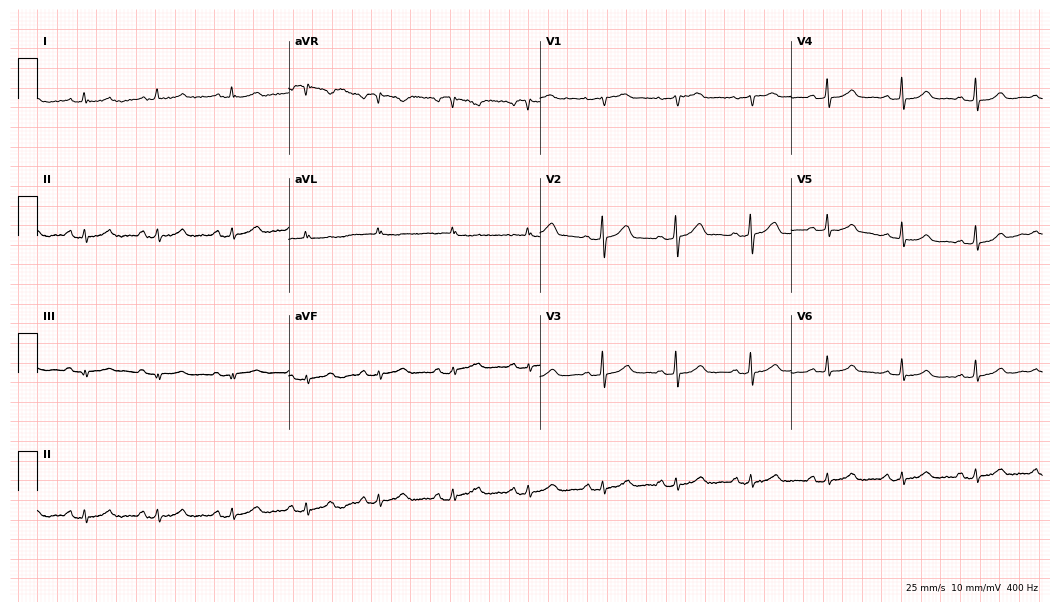
ECG (10.2-second recording at 400 Hz) — a female, 29 years old. Labelled as a normal ECG.